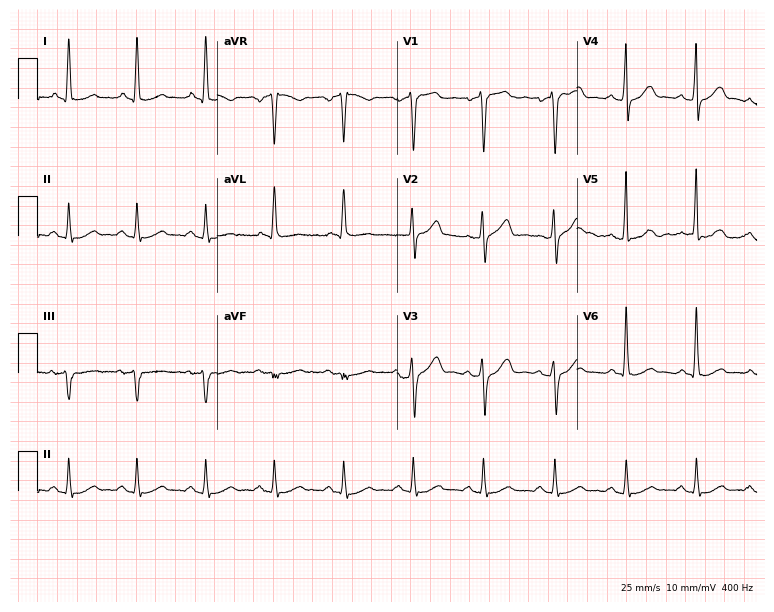
12-lead ECG from a 61-year-old male. Labelled as a normal ECG.